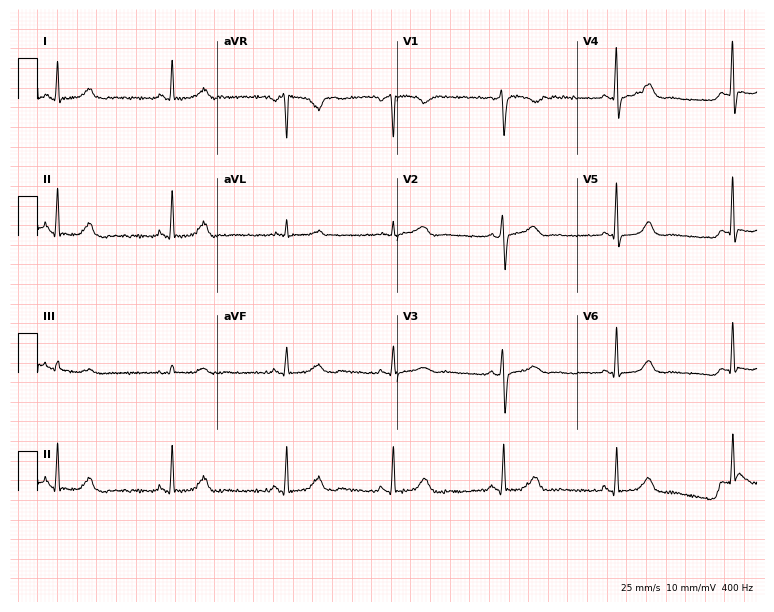
12-lead ECG (7.3-second recording at 400 Hz) from a female, 43 years old. Labelled as a normal ECG.